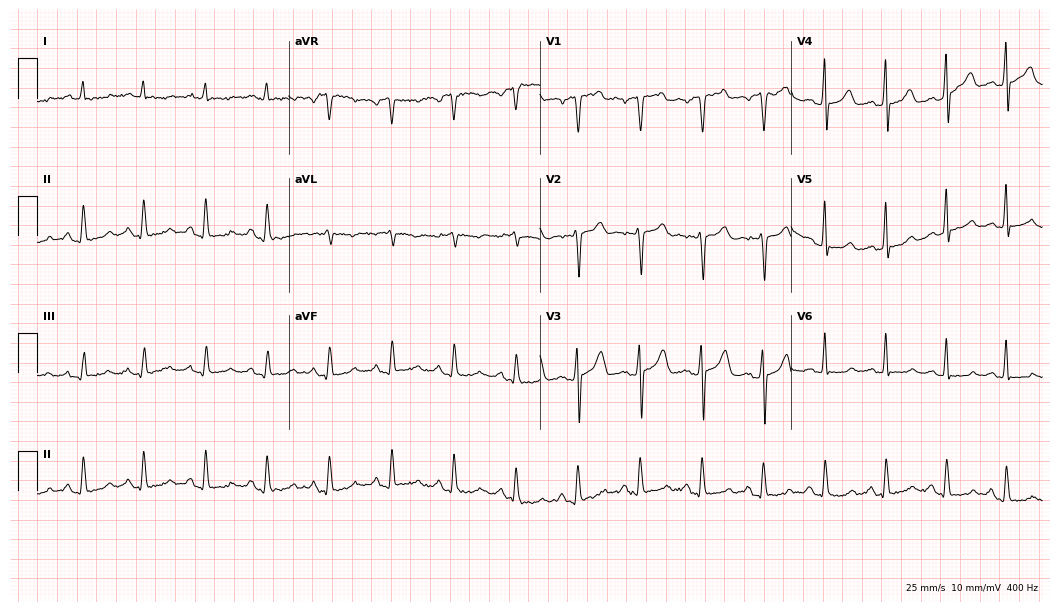
Electrocardiogram (10.2-second recording at 400 Hz), a 60-year-old man. Of the six screened findings (first-degree AV block, right bundle branch block (RBBB), left bundle branch block (LBBB), sinus bradycardia, atrial fibrillation (AF), sinus tachycardia), none is recorded.